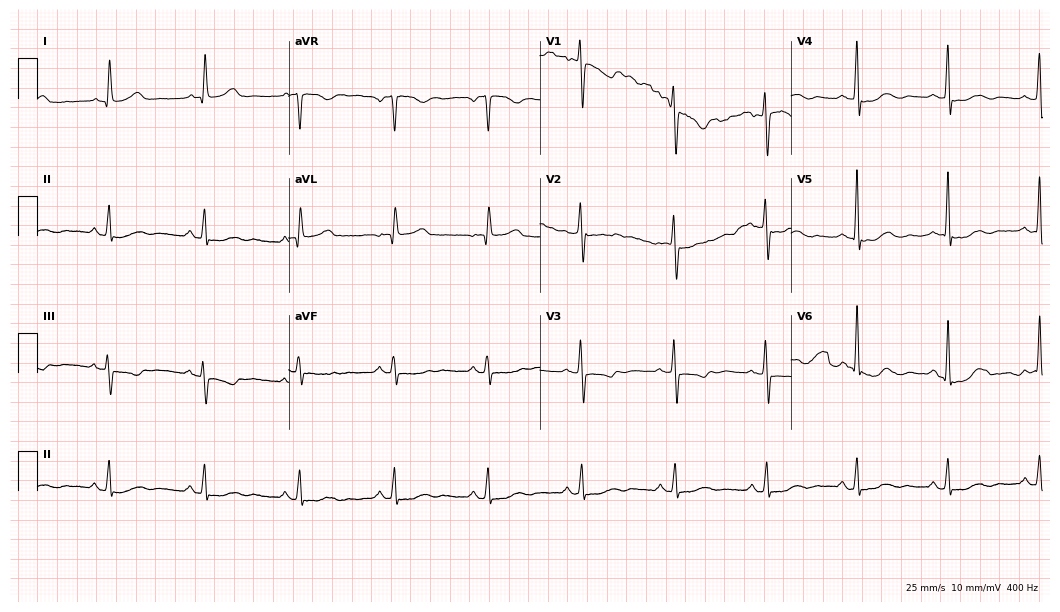
ECG — a female, 64 years old. Screened for six findings — first-degree AV block, right bundle branch block, left bundle branch block, sinus bradycardia, atrial fibrillation, sinus tachycardia — none is recorded. Only these six findings were labelled.